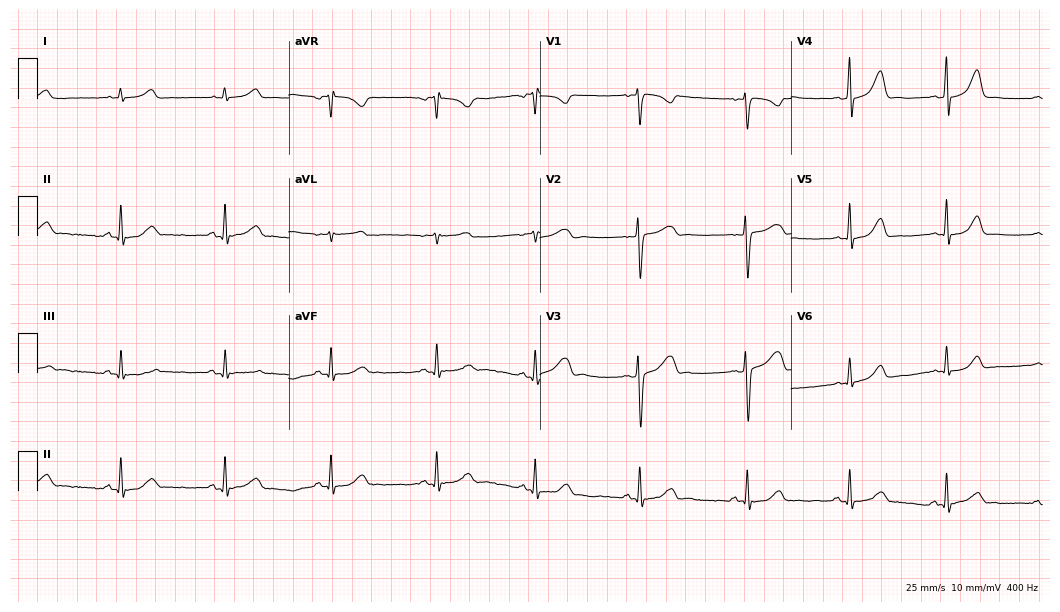
12-lead ECG from a female, 17 years old. Recorded interpretation: within normal limits.